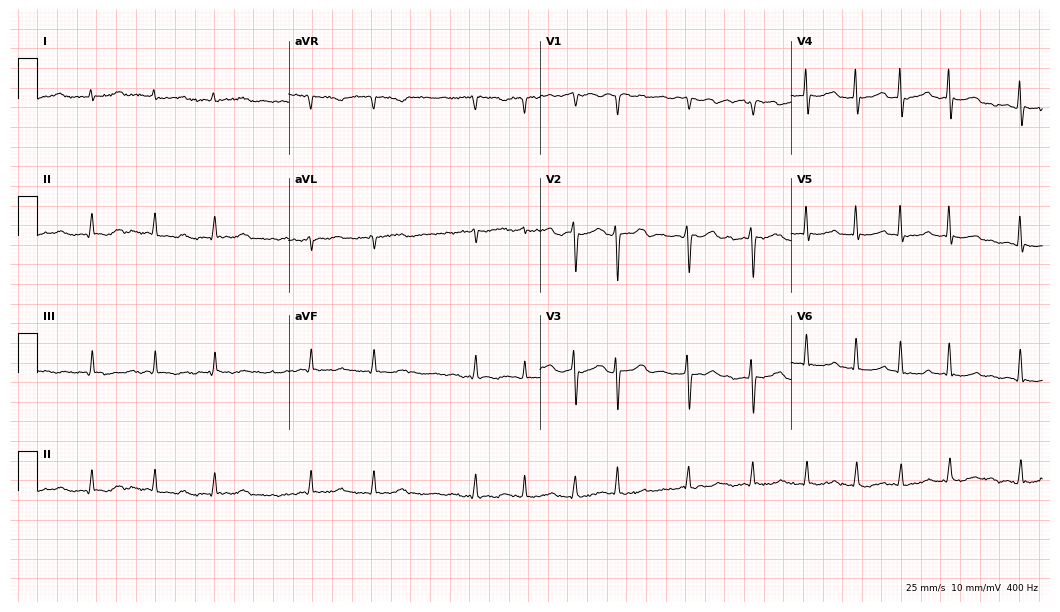
12-lead ECG from an 81-year-old female patient. Findings include atrial fibrillation (AF).